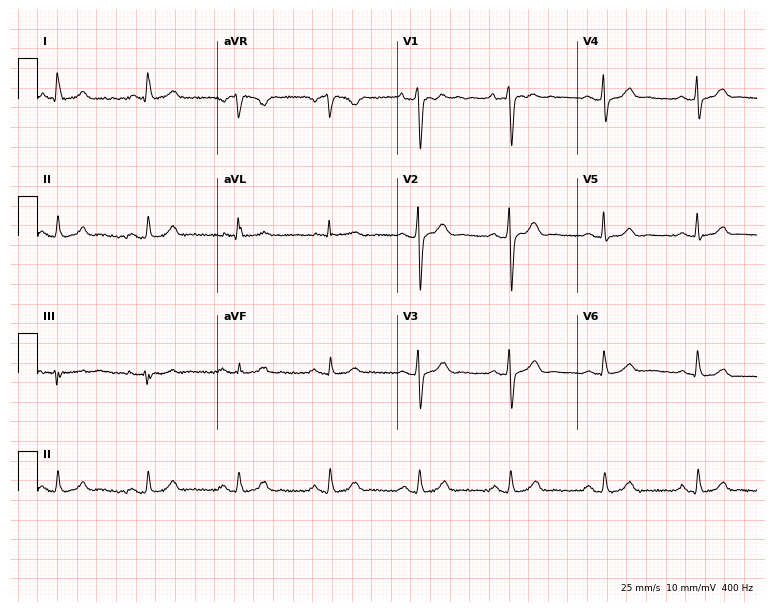
Standard 12-lead ECG recorded from a male patient, 42 years old (7.3-second recording at 400 Hz). Read as a normal ECG.